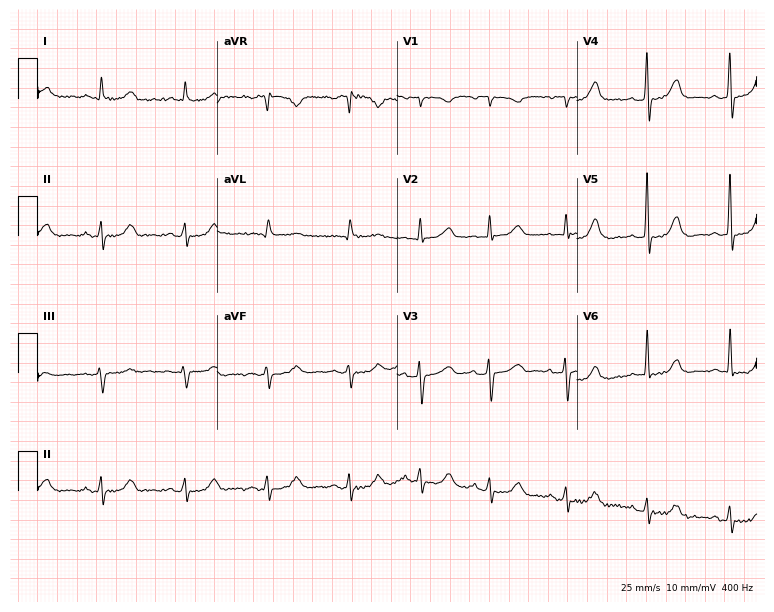
Resting 12-lead electrocardiogram (7.3-second recording at 400 Hz). Patient: a 69-year-old female. None of these six findings is recorded: first-degree AV block, right bundle branch block, left bundle branch block, sinus bradycardia, atrial fibrillation, sinus tachycardia.